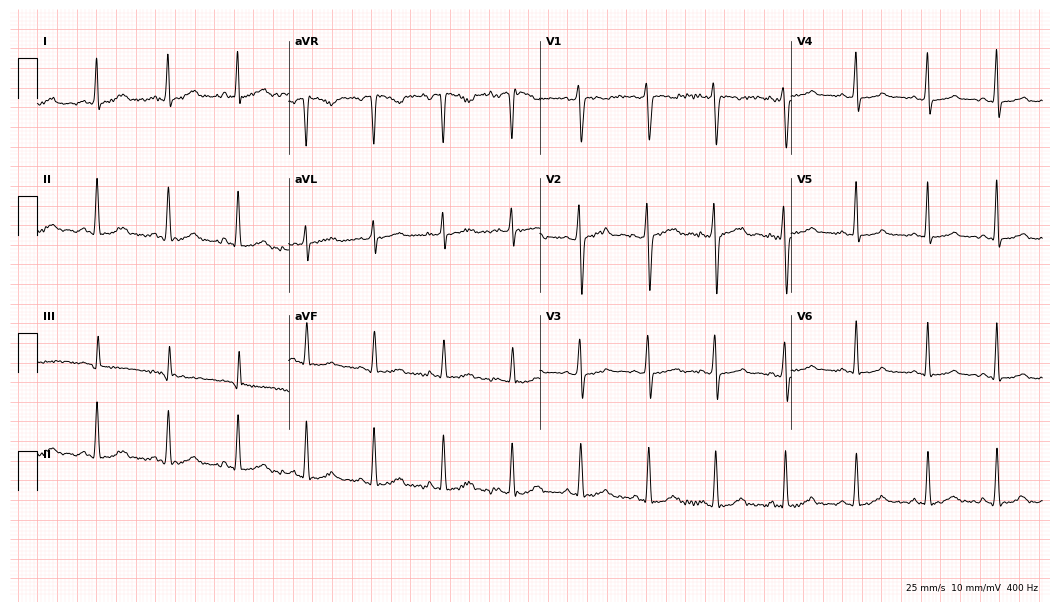
12-lead ECG from a 29-year-old female. Recorded interpretation: within normal limits.